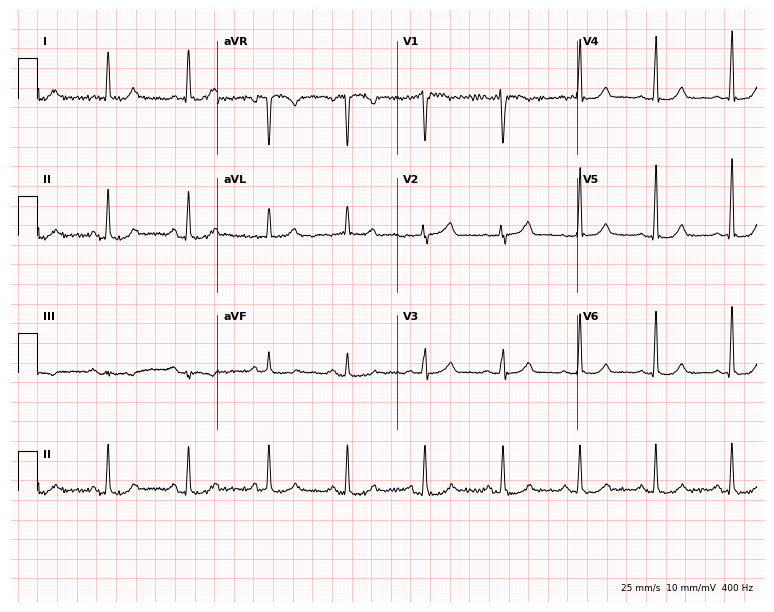
Resting 12-lead electrocardiogram (7.3-second recording at 400 Hz). Patient: a female, 44 years old. None of these six findings is recorded: first-degree AV block, right bundle branch block (RBBB), left bundle branch block (LBBB), sinus bradycardia, atrial fibrillation (AF), sinus tachycardia. Findings outside these six are not listed.